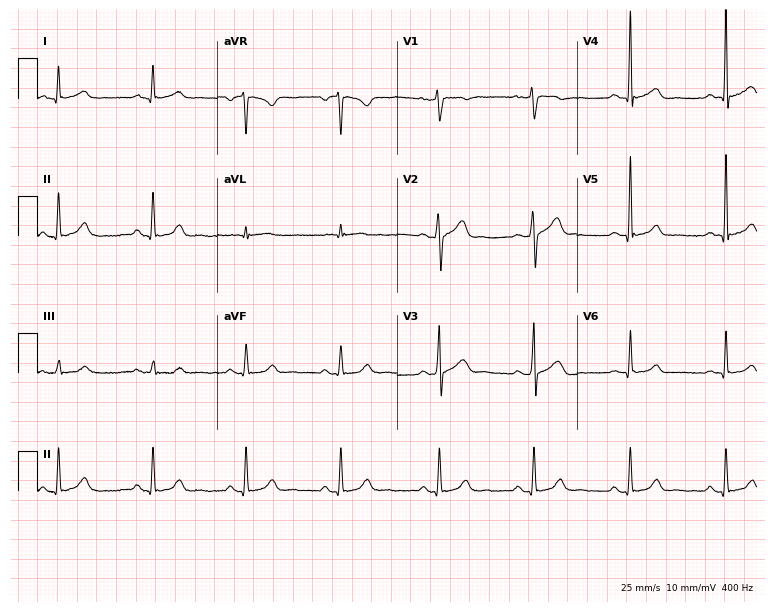
Standard 12-lead ECG recorded from a male patient, 38 years old. Read as a normal ECG.